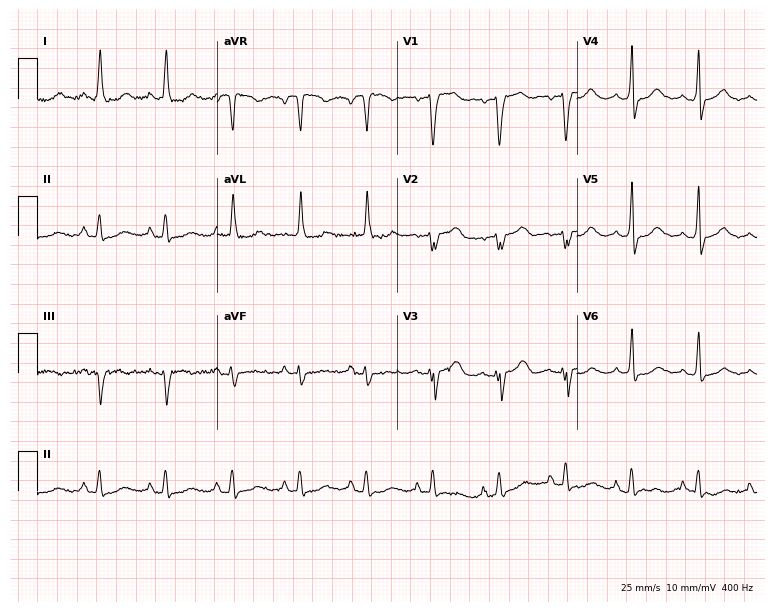
12-lead ECG from an 84-year-old woman. No first-degree AV block, right bundle branch block (RBBB), left bundle branch block (LBBB), sinus bradycardia, atrial fibrillation (AF) or sinus tachycardia recorded for this tracing.